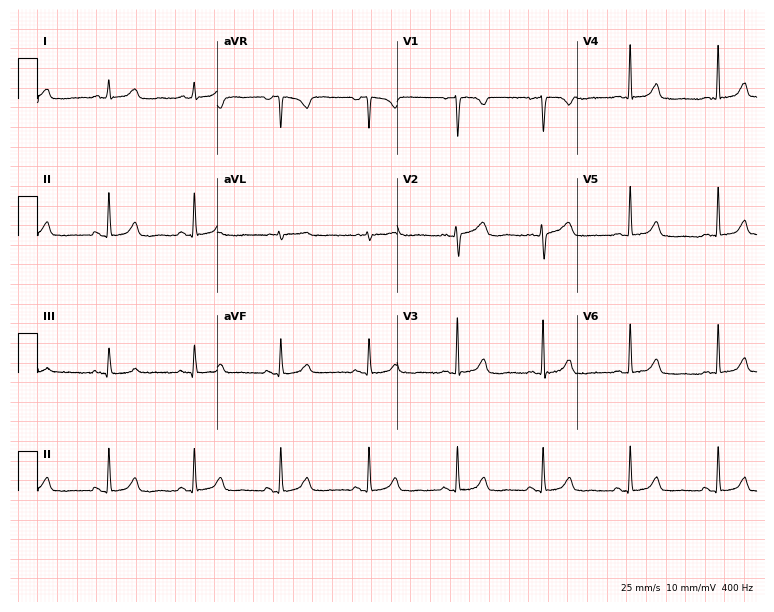
Standard 12-lead ECG recorded from a 39-year-old female patient. Read as a normal ECG.